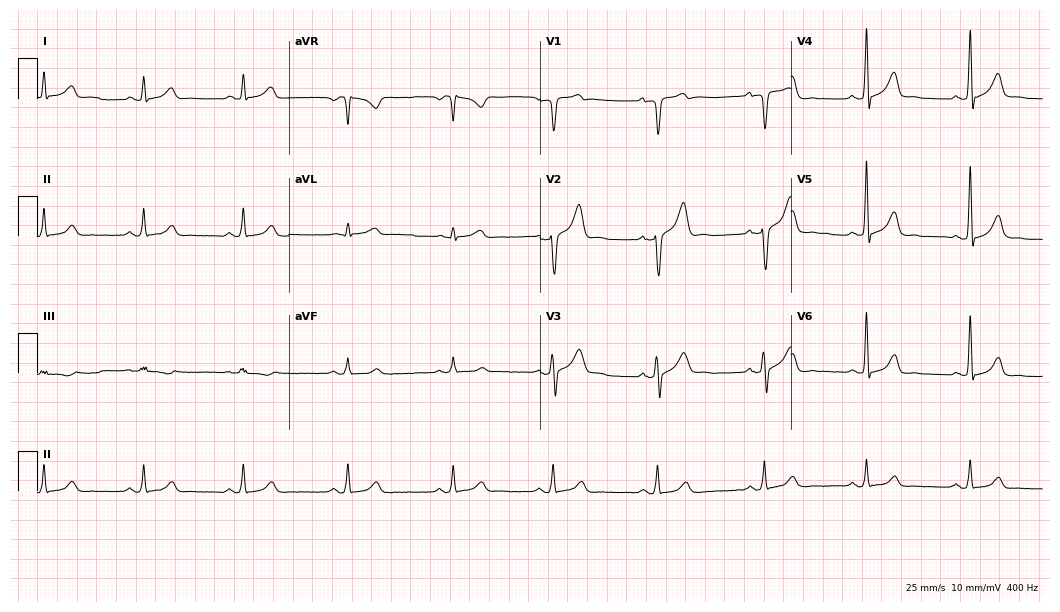
Standard 12-lead ECG recorded from a male, 41 years old. None of these six findings is recorded: first-degree AV block, right bundle branch block, left bundle branch block, sinus bradycardia, atrial fibrillation, sinus tachycardia.